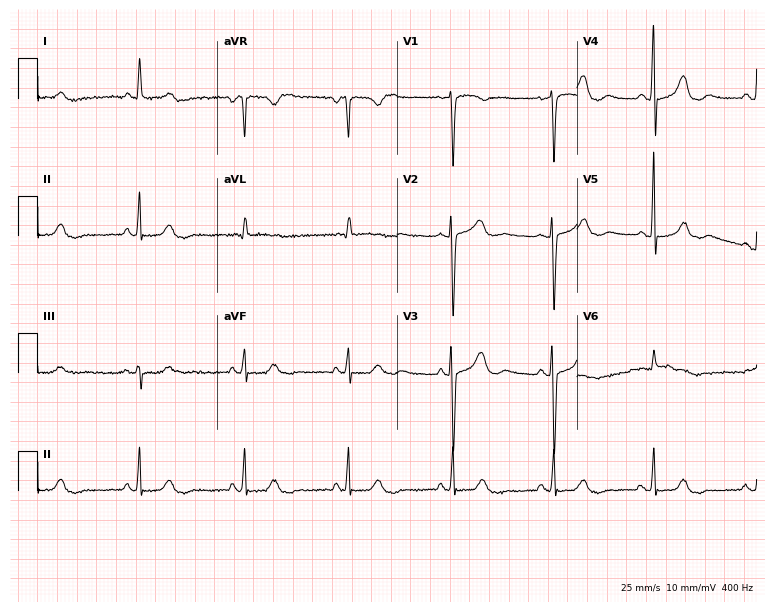
Electrocardiogram, a 61-year-old female patient. Overall reading on record: normal ECG.